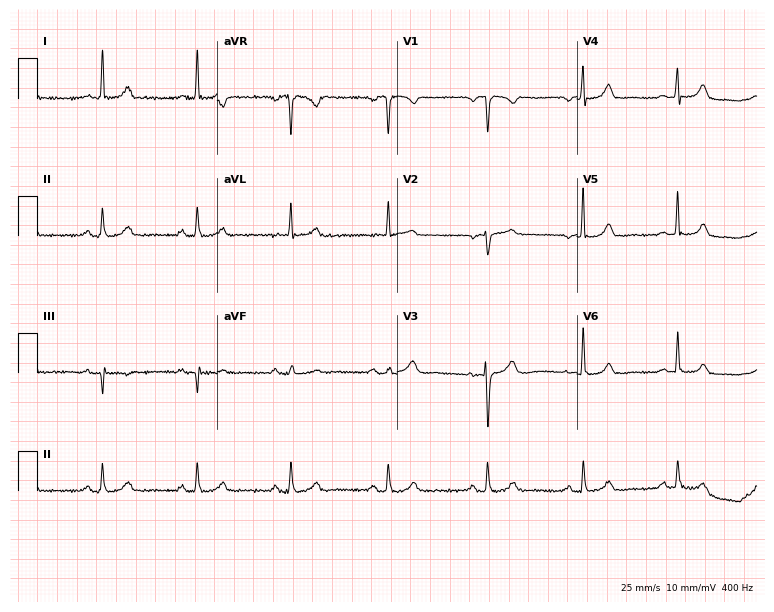
ECG (7.3-second recording at 400 Hz) — a 67-year-old female. Labelled as a normal ECG.